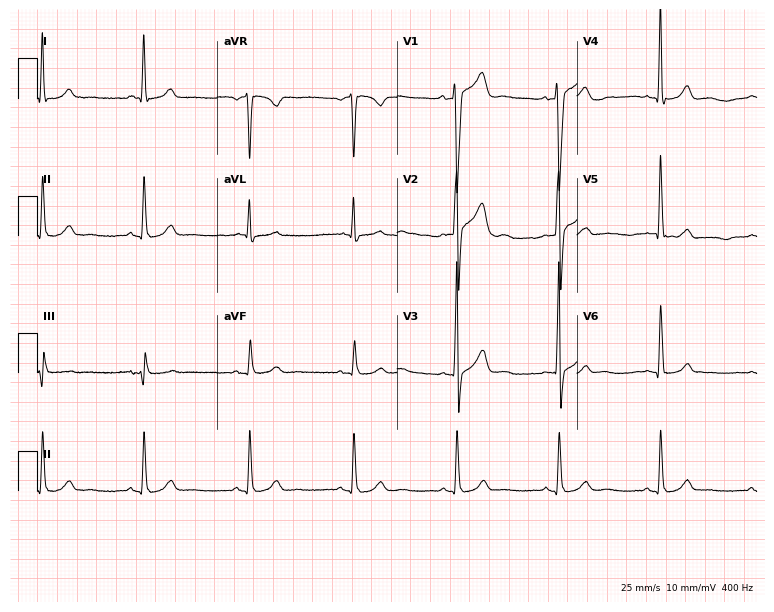
Resting 12-lead electrocardiogram. Patient: a man, 57 years old. None of these six findings is recorded: first-degree AV block, right bundle branch block (RBBB), left bundle branch block (LBBB), sinus bradycardia, atrial fibrillation (AF), sinus tachycardia.